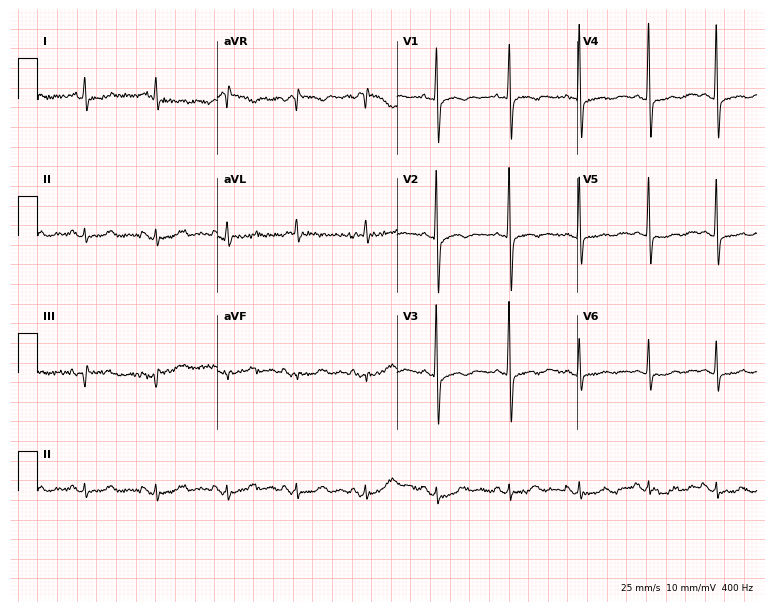
Electrocardiogram (7.3-second recording at 400 Hz), a female, 71 years old. Overall reading on record: normal ECG.